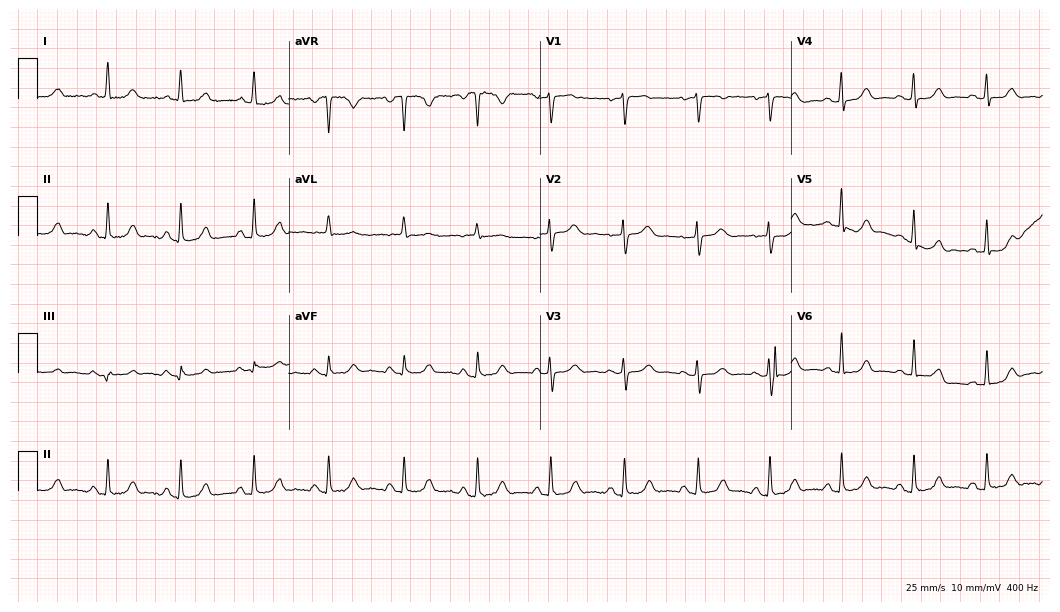
12-lead ECG (10.2-second recording at 400 Hz) from a woman, 68 years old. Labelled as a normal ECG.